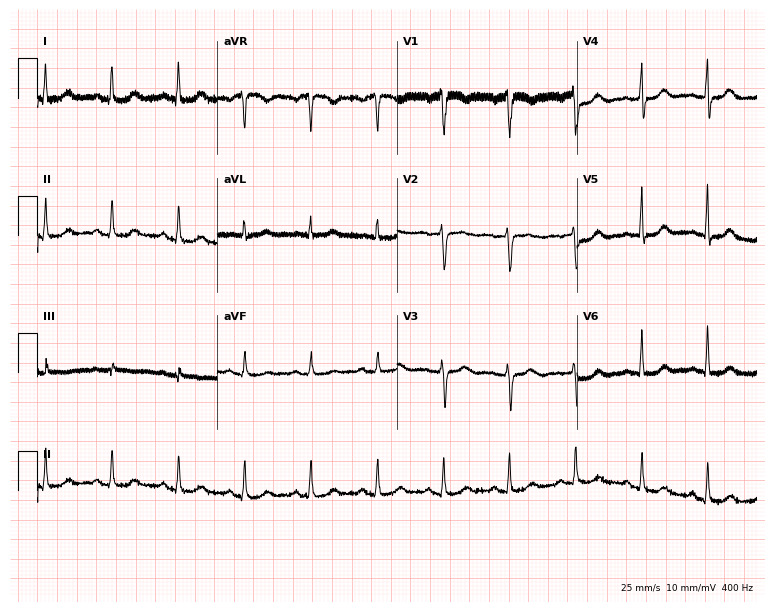
12-lead ECG from a female, 56 years old (7.3-second recording at 400 Hz). No first-degree AV block, right bundle branch block, left bundle branch block, sinus bradycardia, atrial fibrillation or sinus tachycardia recorded for this tracing.